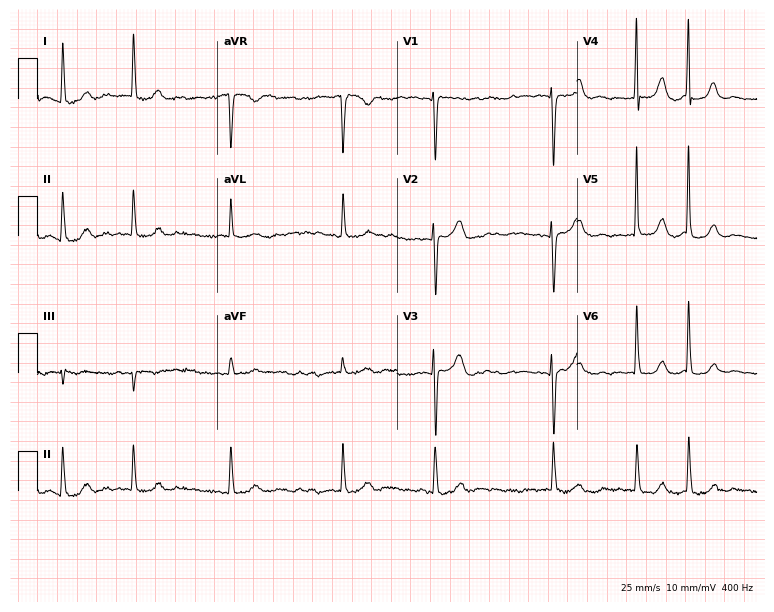
12-lead ECG from a 76-year-old woman (7.3-second recording at 400 Hz). Shows atrial fibrillation (AF).